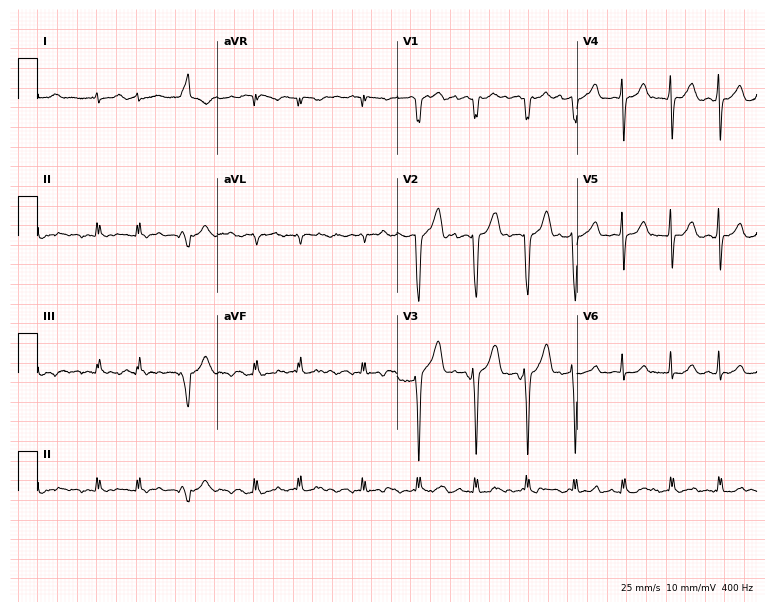
Electrocardiogram (7.3-second recording at 400 Hz), a 73-year-old male. Interpretation includes atrial fibrillation.